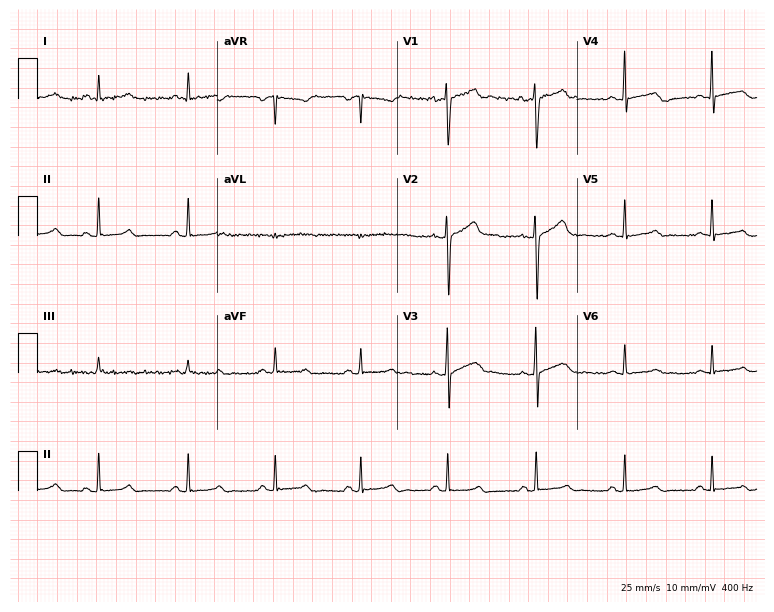
Resting 12-lead electrocardiogram (7.3-second recording at 400 Hz). Patient: a male, 39 years old. Read as a normal ECG.